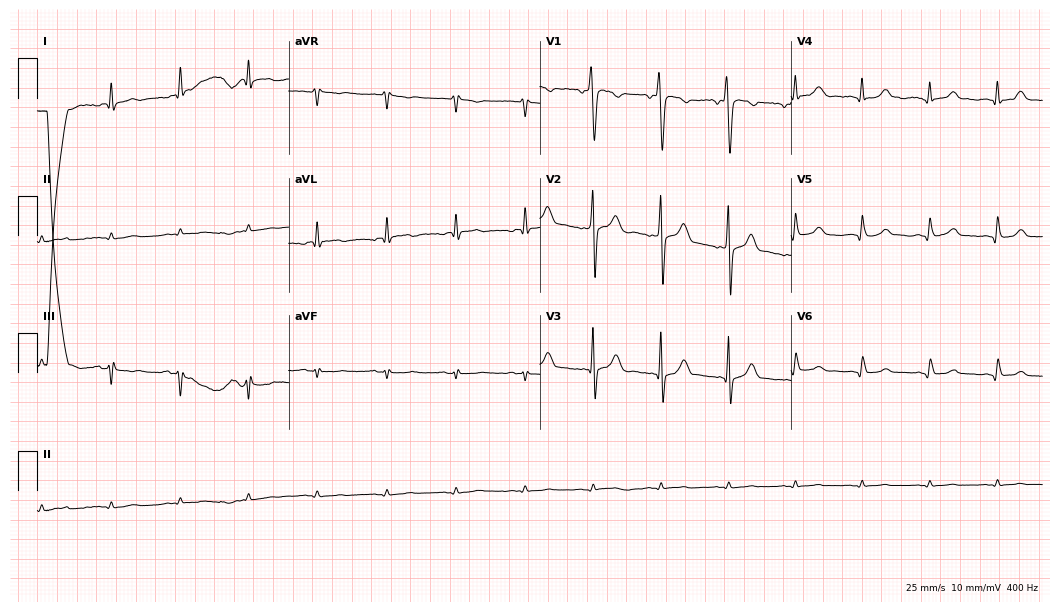
Standard 12-lead ECG recorded from a 32-year-old woman (10.2-second recording at 400 Hz). Read as a normal ECG.